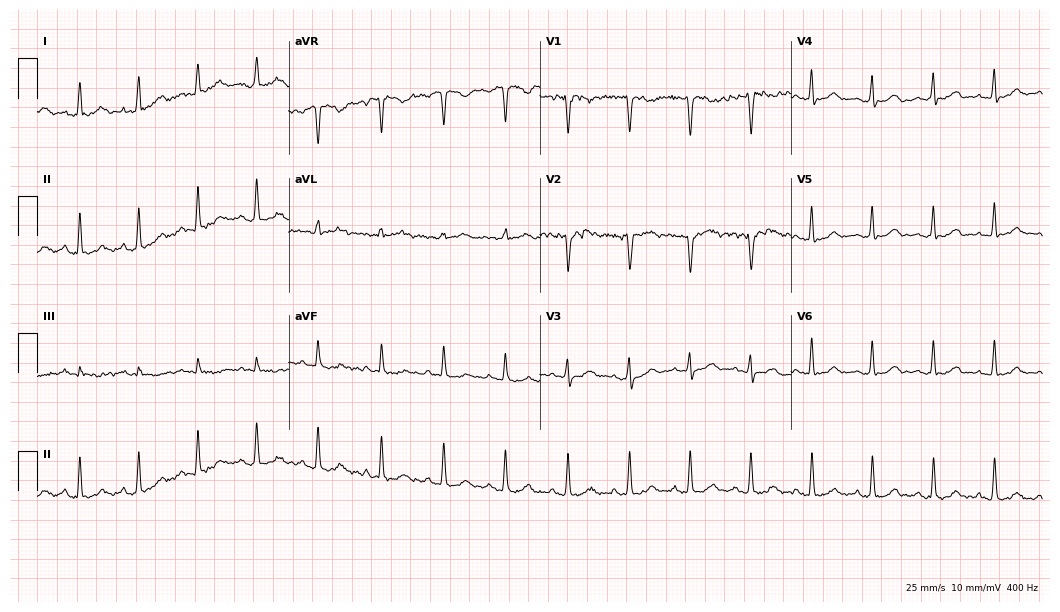
Resting 12-lead electrocardiogram (10.2-second recording at 400 Hz). Patient: a female, 29 years old. Read as a normal ECG.